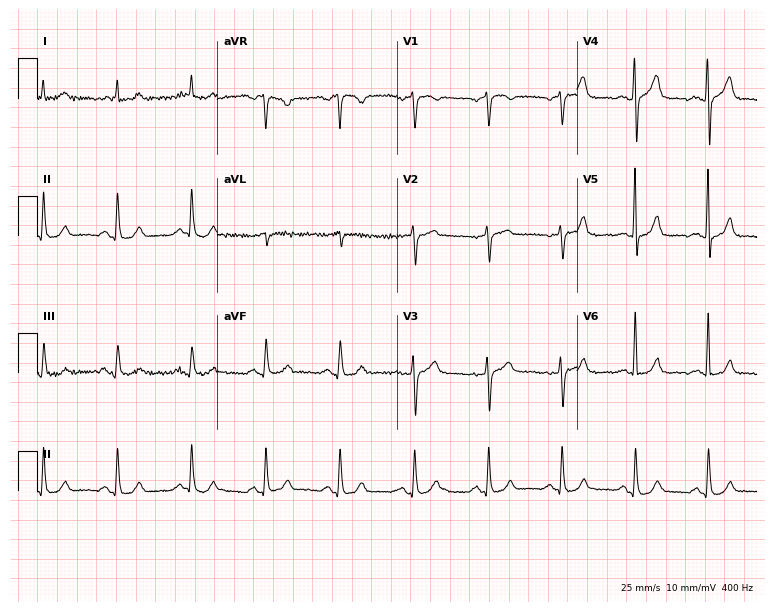
ECG — a 69-year-old man. Labelled as a normal ECG.